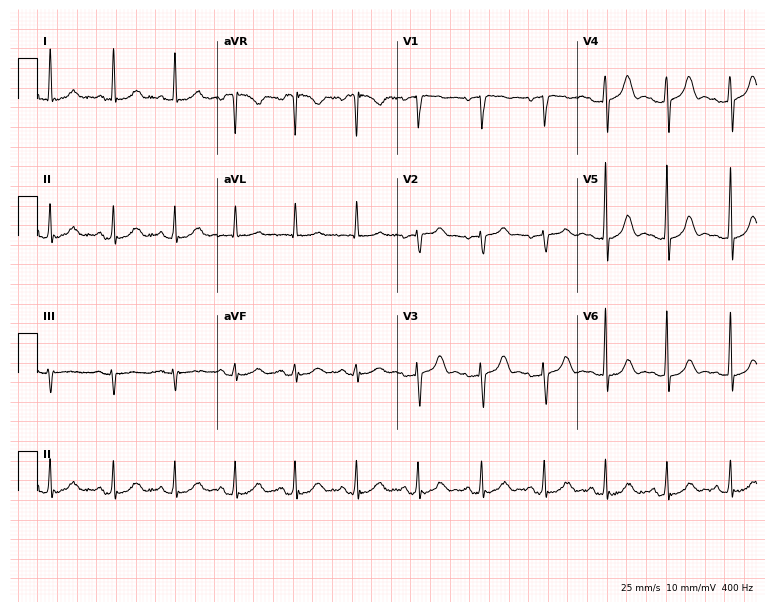
12-lead ECG from a 55-year-old female. Screened for six findings — first-degree AV block, right bundle branch block, left bundle branch block, sinus bradycardia, atrial fibrillation, sinus tachycardia — none is recorded. Findings outside these six are not listed.